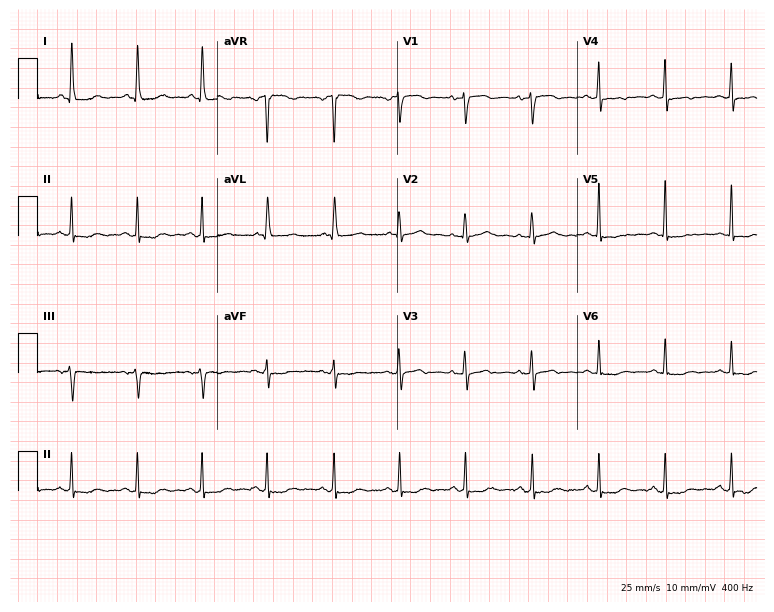
Standard 12-lead ECG recorded from a woman, 73 years old. None of these six findings is recorded: first-degree AV block, right bundle branch block, left bundle branch block, sinus bradycardia, atrial fibrillation, sinus tachycardia.